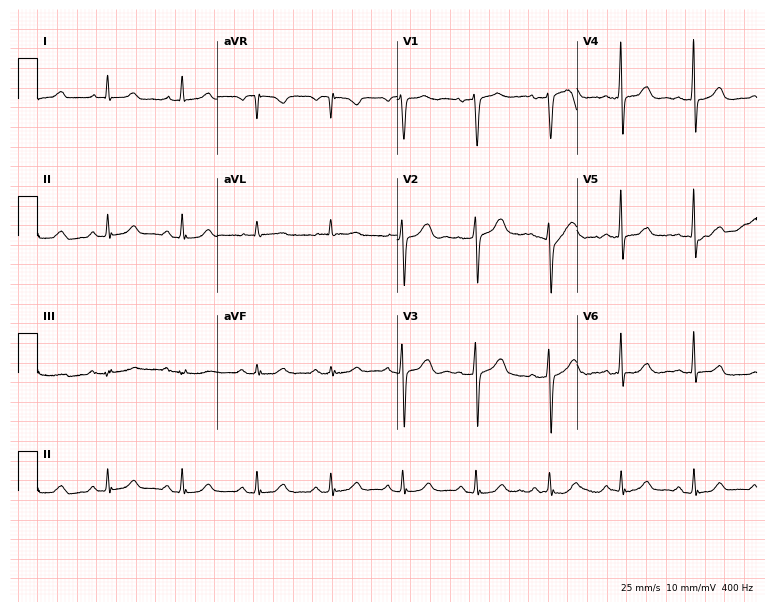
Resting 12-lead electrocardiogram (7.3-second recording at 400 Hz). Patient: a 55-year-old woman. Read as a normal ECG.